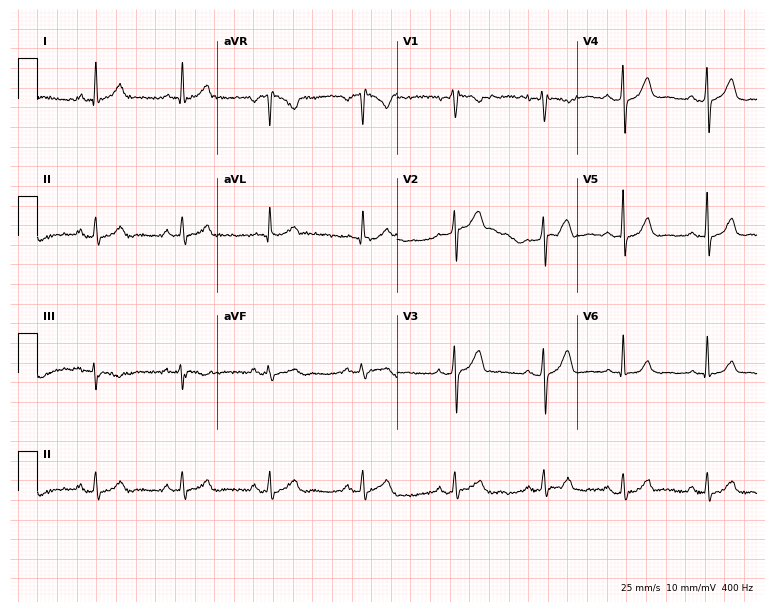
Resting 12-lead electrocardiogram. Patient: a 60-year-old man. None of these six findings is recorded: first-degree AV block, right bundle branch block, left bundle branch block, sinus bradycardia, atrial fibrillation, sinus tachycardia. Other findings, if any, are not listed.